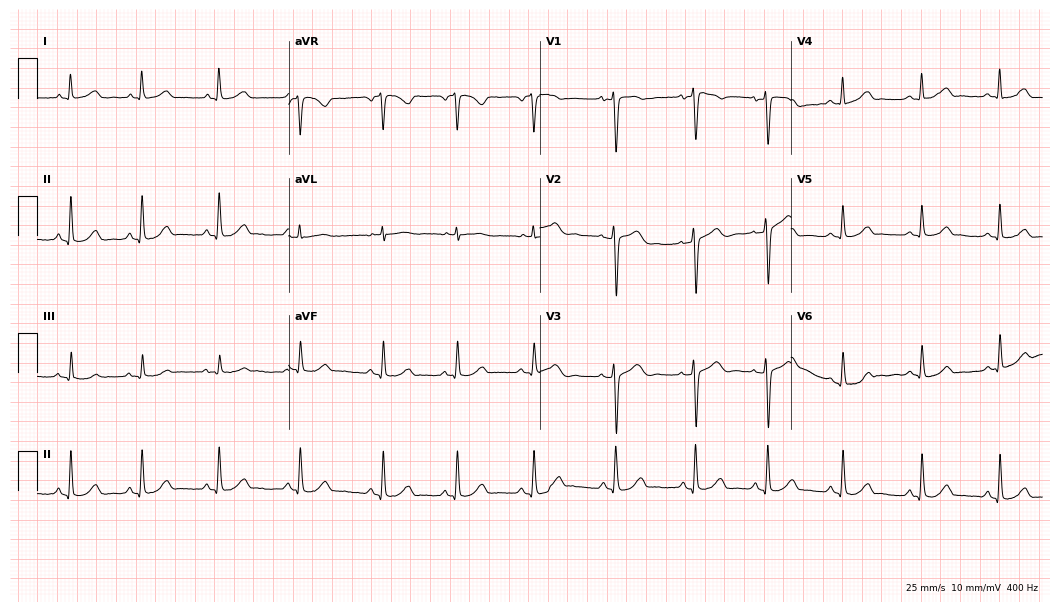
ECG — a woman, 32 years old. Labelled as a normal ECG.